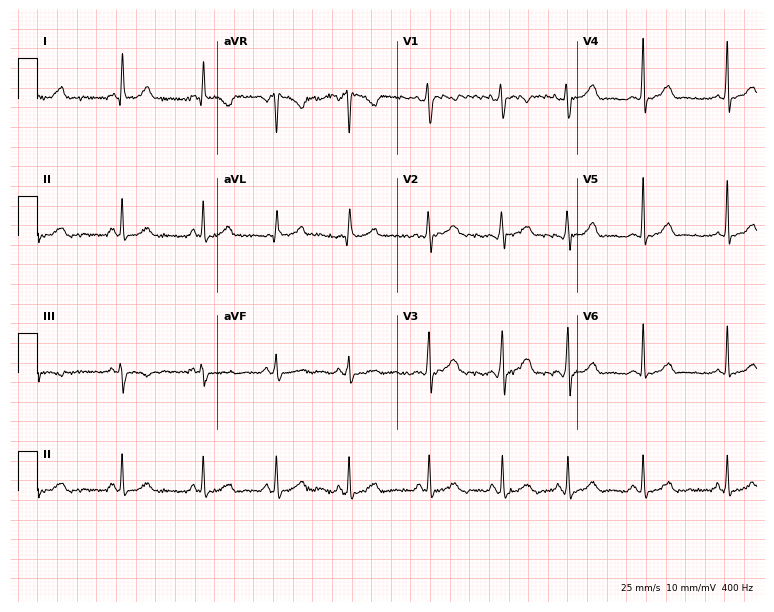
Resting 12-lead electrocardiogram. Patient: a woman, 24 years old. None of these six findings is recorded: first-degree AV block, right bundle branch block (RBBB), left bundle branch block (LBBB), sinus bradycardia, atrial fibrillation (AF), sinus tachycardia.